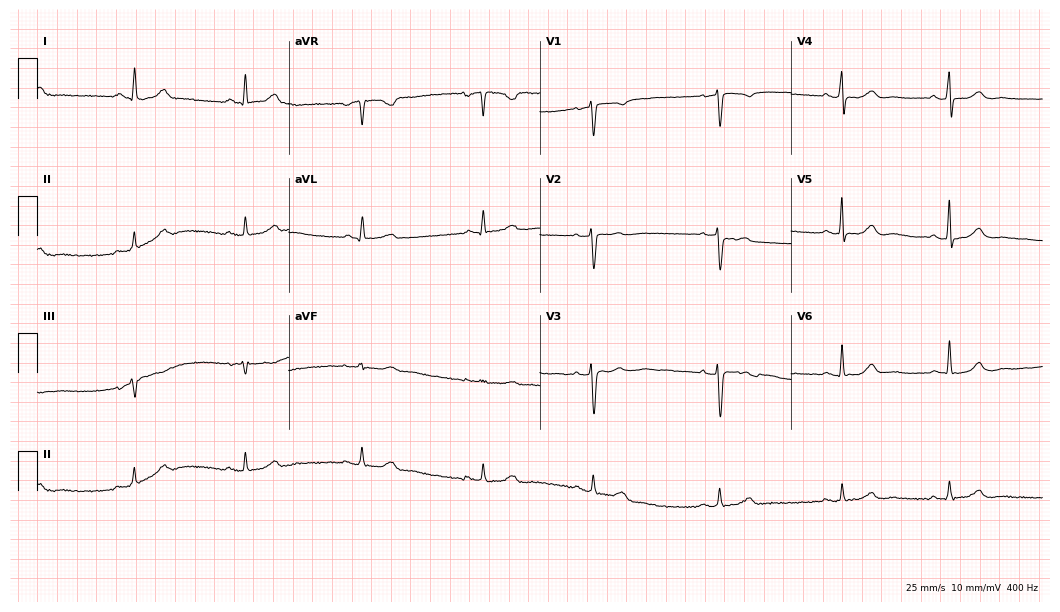
ECG (10.2-second recording at 400 Hz) — a 41-year-old female patient. Labelled as a normal ECG.